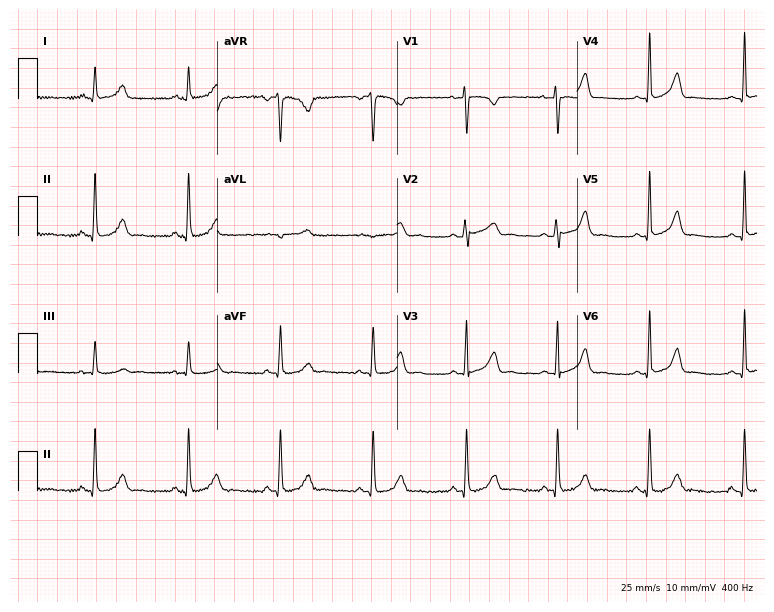
12-lead ECG (7.3-second recording at 400 Hz) from a 26-year-old woman. Screened for six findings — first-degree AV block, right bundle branch block, left bundle branch block, sinus bradycardia, atrial fibrillation, sinus tachycardia — none is recorded. Other findings, if any, are not listed.